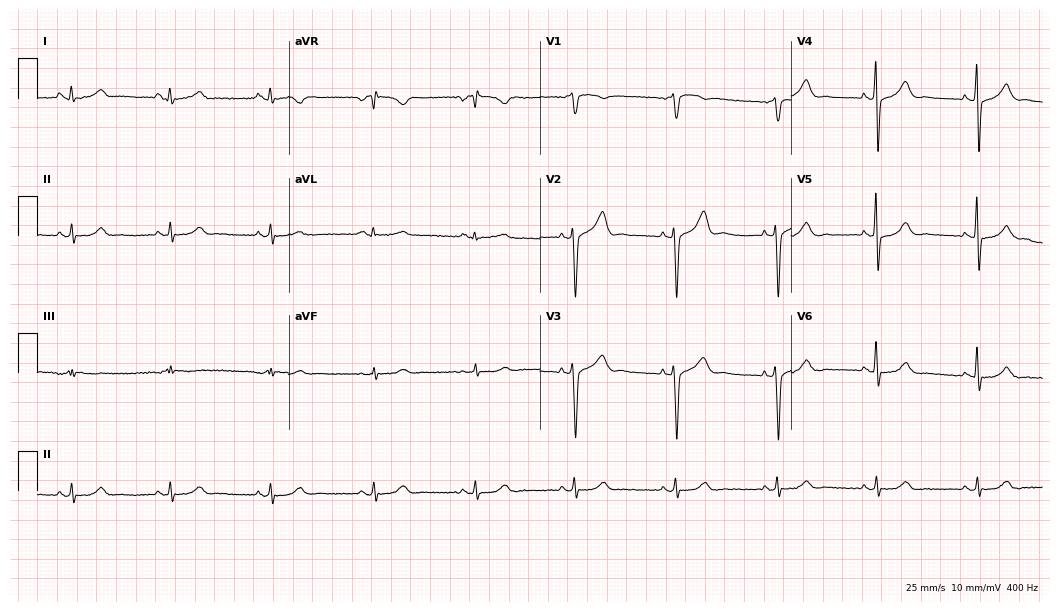
Electrocardiogram (10.2-second recording at 400 Hz), a female, 51 years old. Overall reading on record: normal ECG.